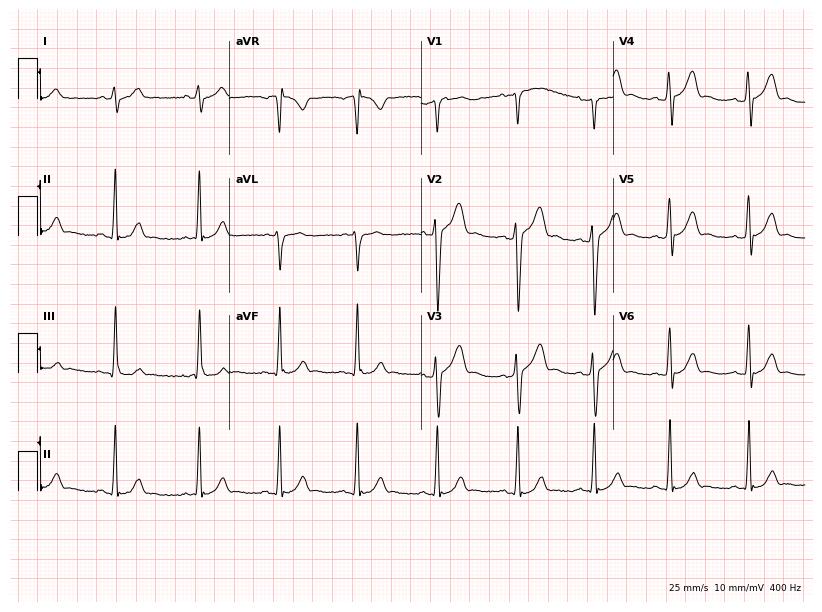
12-lead ECG from a 21-year-old male. Screened for six findings — first-degree AV block, right bundle branch block, left bundle branch block, sinus bradycardia, atrial fibrillation, sinus tachycardia — none is recorded.